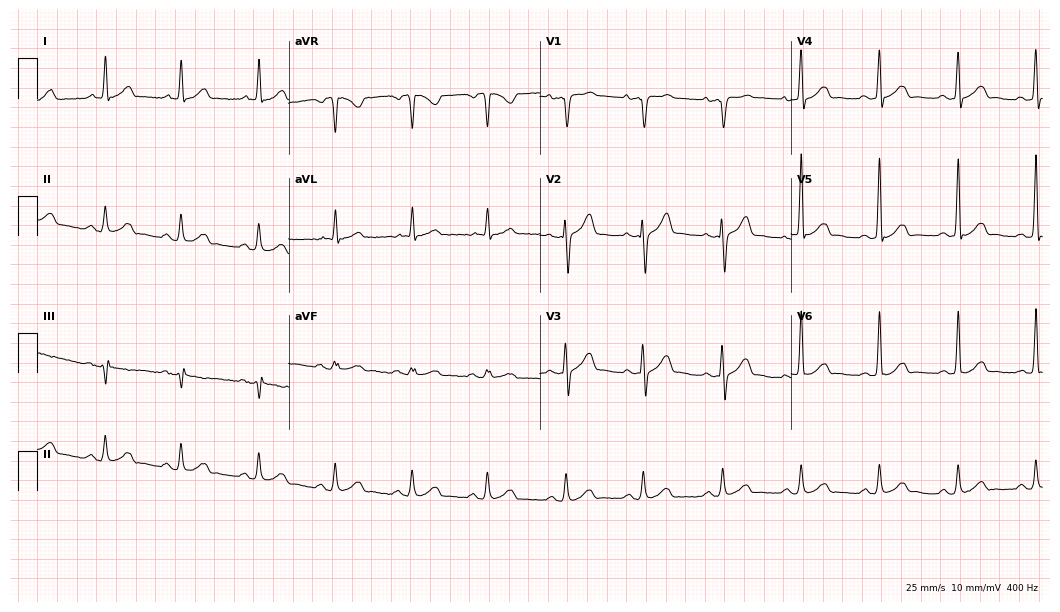
Resting 12-lead electrocardiogram (10.2-second recording at 400 Hz). Patient: a man, 46 years old. Read as a normal ECG.